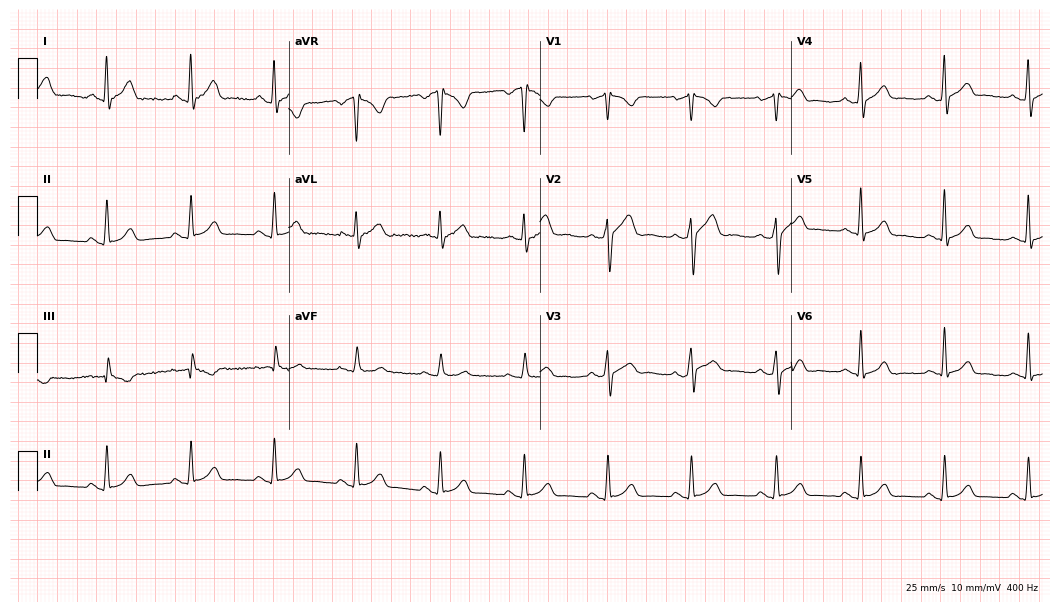
Resting 12-lead electrocardiogram. Patient: a male, 46 years old. None of these six findings is recorded: first-degree AV block, right bundle branch block (RBBB), left bundle branch block (LBBB), sinus bradycardia, atrial fibrillation (AF), sinus tachycardia.